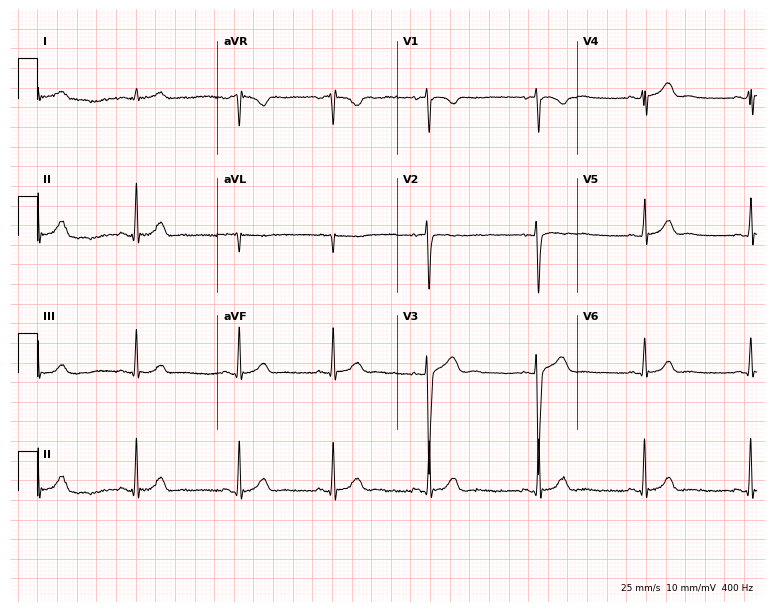
12-lead ECG from a woman, 24 years old. Screened for six findings — first-degree AV block, right bundle branch block (RBBB), left bundle branch block (LBBB), sinus bradycardia, atrial fibrillation (AF), sinus tachycardia — none is recorded. Only these six findings were labelled.